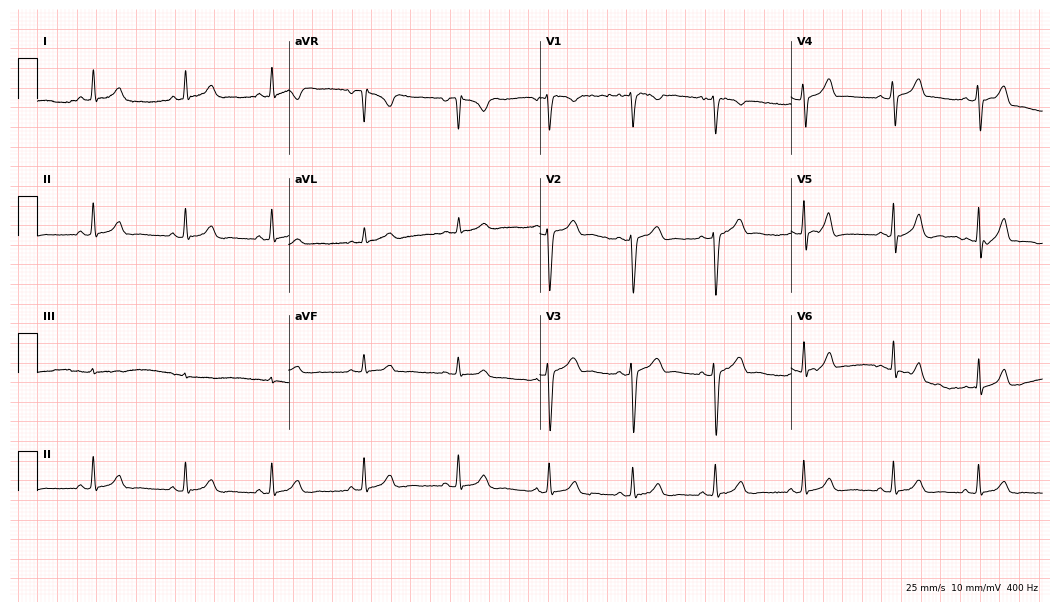
Electrocardiogram, a female patient, 25 years old. Overall reading on record: normal ECG.